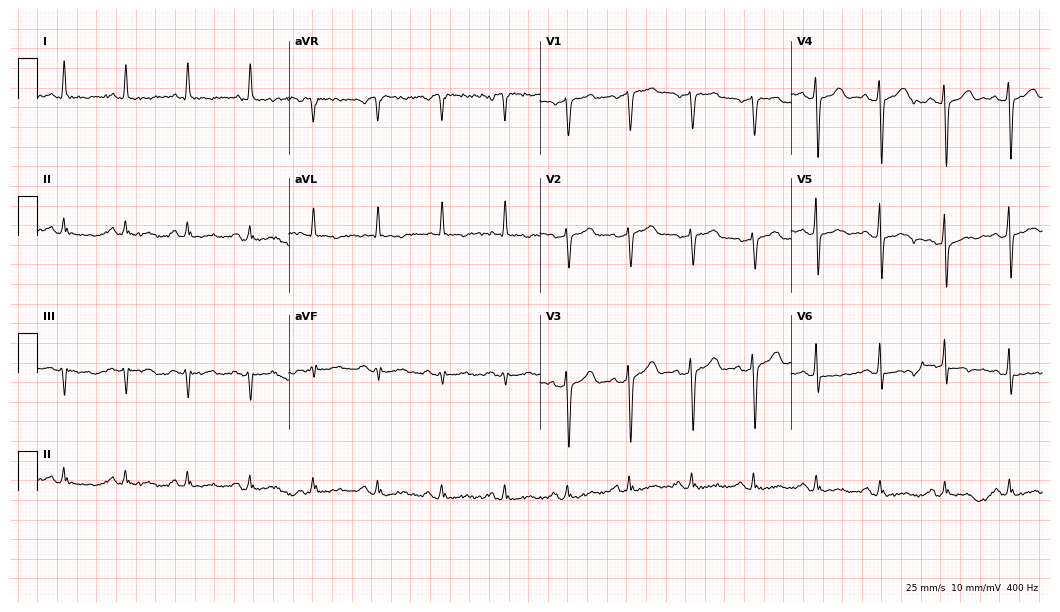
Standard 12-lead ECG recorded from a 62-year-old man. None of these six findings is recorded: first-degree AV block, right bundle branch block, left bundle branch block, sinus bradycardia, atrial fibrillation, sinus tachycardia. Findings outside these six are not listed.